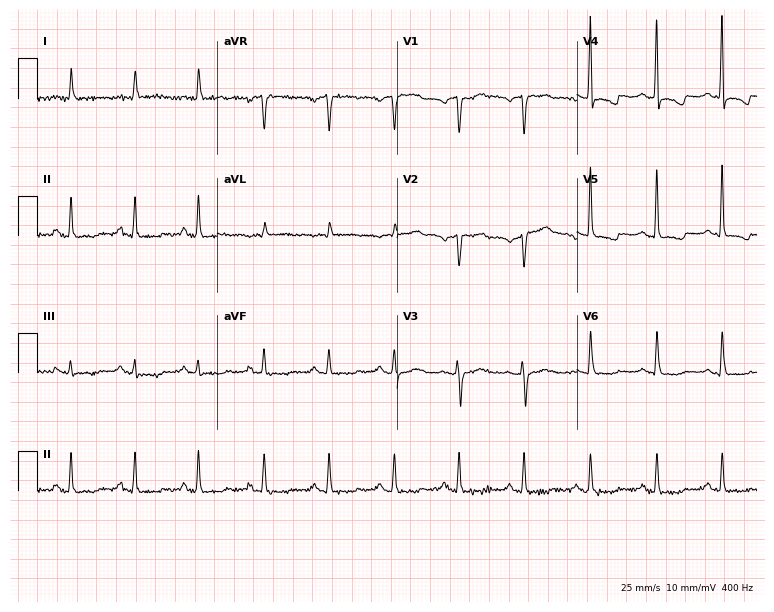
Electrocardiogram (7.3-second recording at 400 Hz), a 64-year-old female. Of the six screened findings (first-degree AV block, right bundle branch block (RBBB), left bundle branch block (LBBB), sinus bradycardia, atrial fibrillation (AF), sinus tachycardia), none is recorded. Only these six findings were labelled.